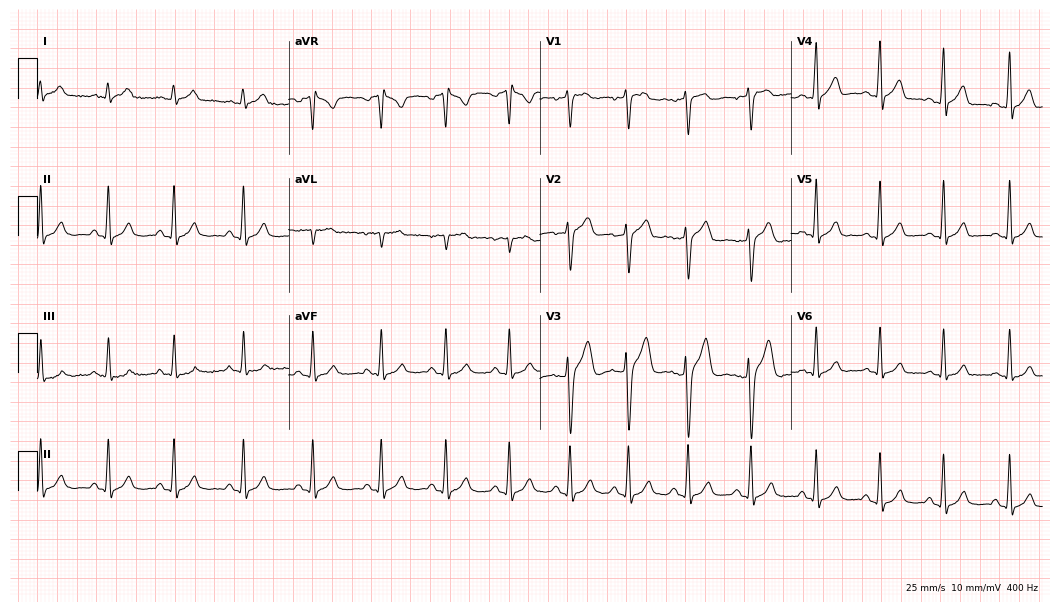
Standard 12-lead ECG recorded from a male, 22 years old. Read as a normal ECG.